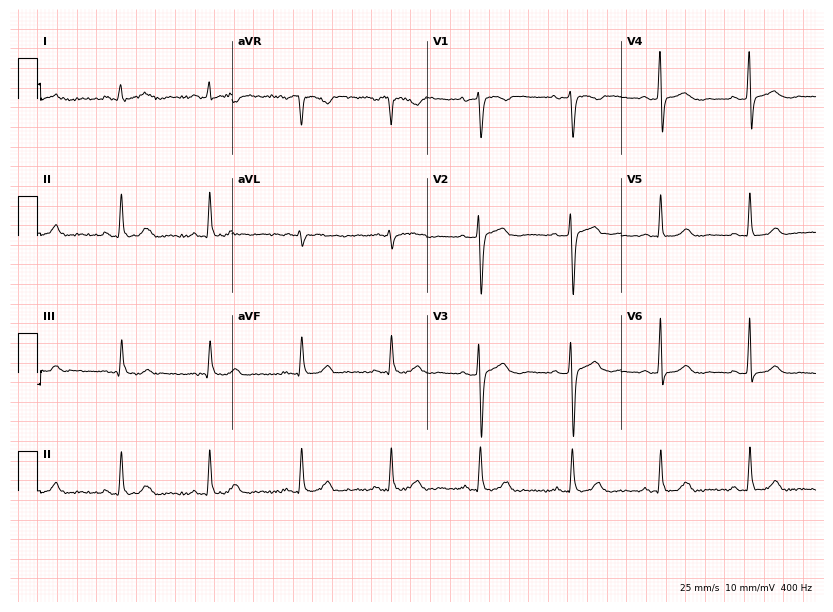
Standard 12-lead ECG recorded from a 31-year-old female. Read as a normal ECG.